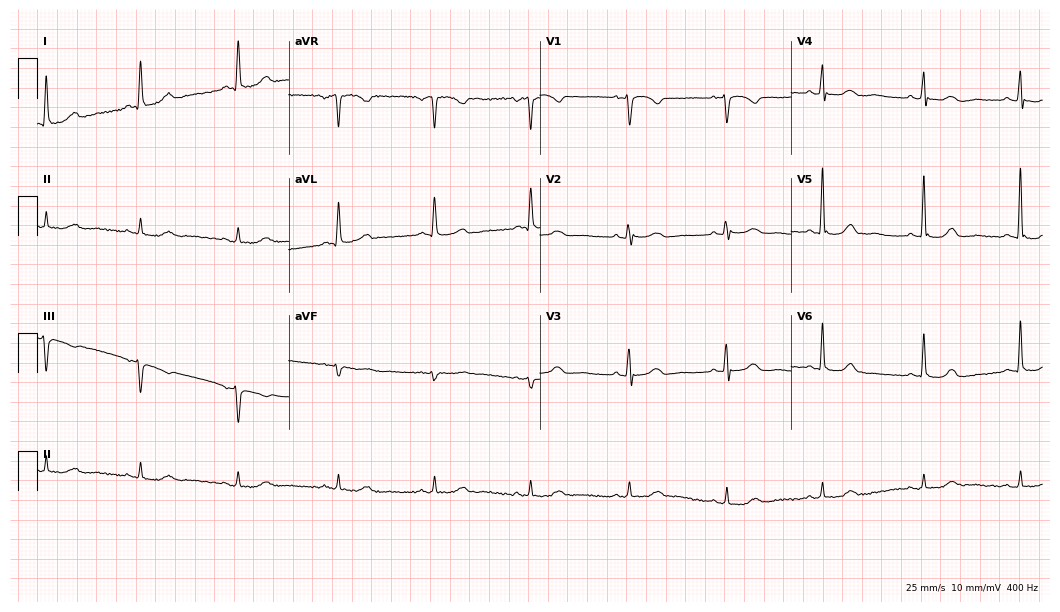
Resting 12-lead electrocardiogram. Patient: an 80-year-old woman. Read as a normal ECG.